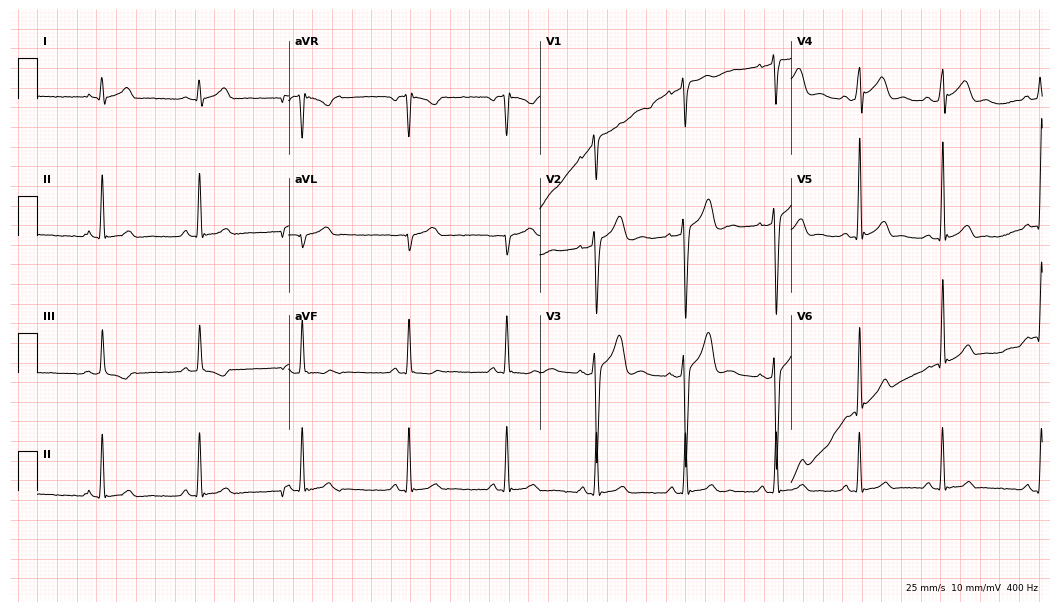
12-lead ECG from a male patient, 25 years old. Recorded interpretation: within normal limits.